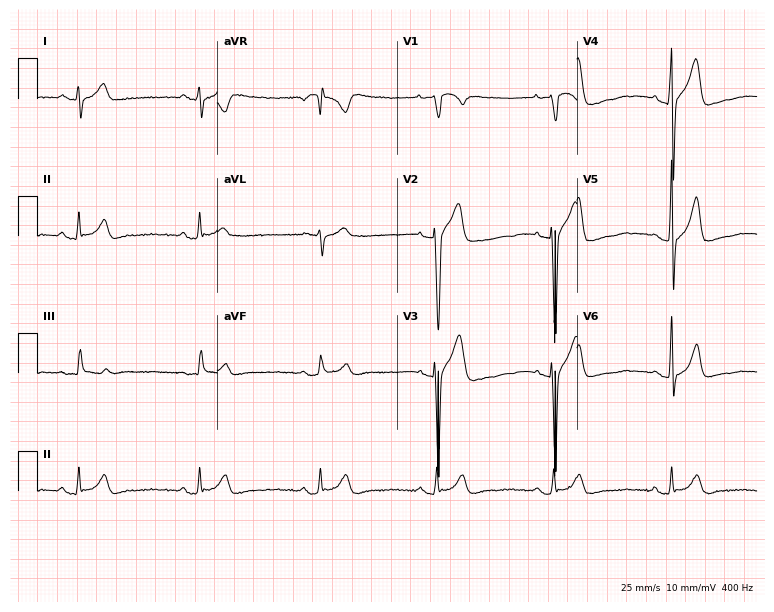
Resting 12-lead electrocardiogram (7.3-second recording at 400 Hz). Patient: a 25-year-old male. The tracing shows sinus bradycardia (a sinus rate of 50 beats per minute or less).